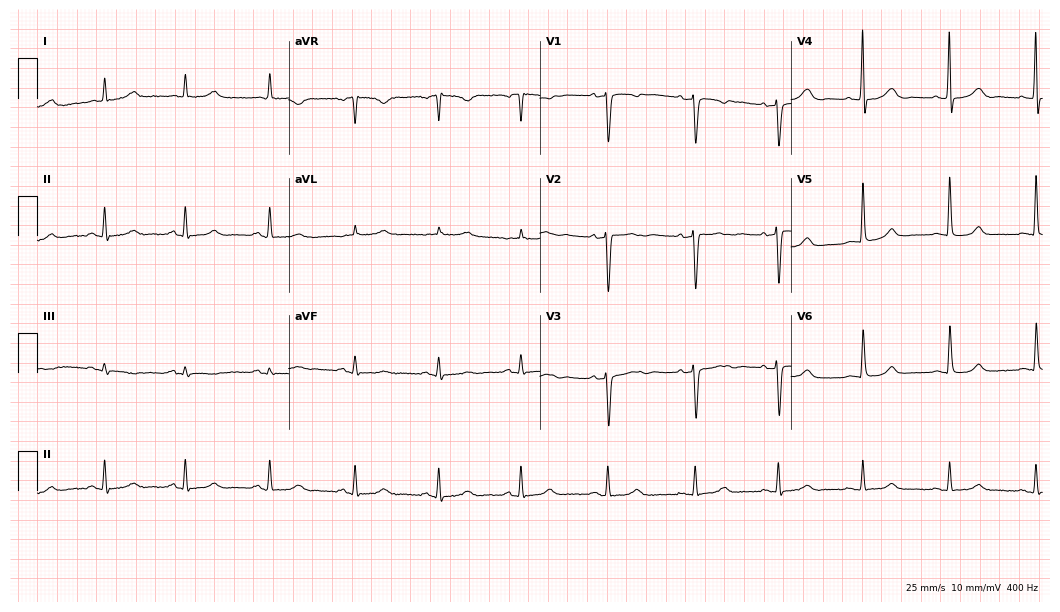
ECG — a 77-year-old female patient. Screened for six findings — first-degree AV block, right bundle branch block, left bundle branch block, sinus bradycardia, atrial fibrillation, sinus tachycardia — none is recorded. Other findings, if any, are not listed.